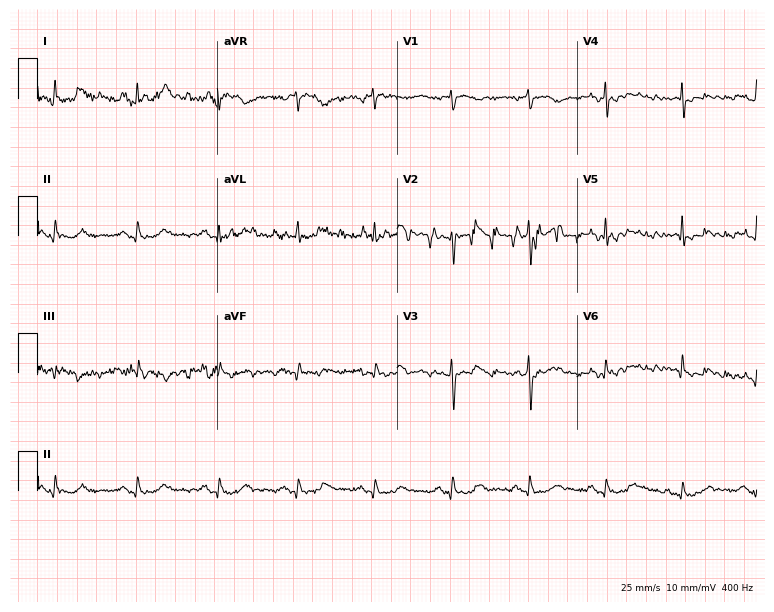
Standard 12-lead ECG recorded from a 73-year-old woman. None of these six findings is recorded: first-degree AV block, right bundle branch block (RBBB), left bundle branch block (LBBB), sinus bradycardia, atrial fibrillation (AF), sinus tachycardia.